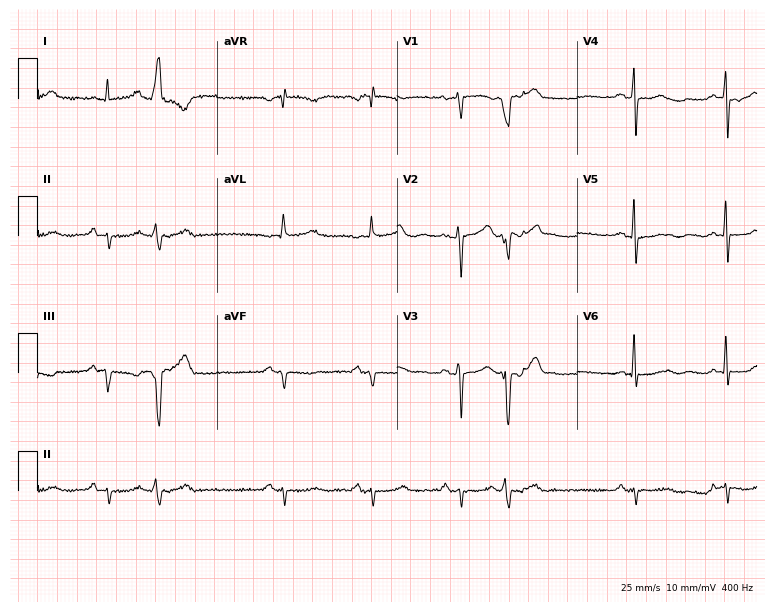
Resting 12-lead electrocardiogram (7.3-second recording at 400 Hz). Patient: a man, 77 years old. None of these six findings is recorded: first-degree AV block, right bundle branch block (RBBB), left bundle branch block (LBBB), sinus bradycardia, atrial fibrillation (AF), sinus tachycardia. Other findings, if any, are not listed.